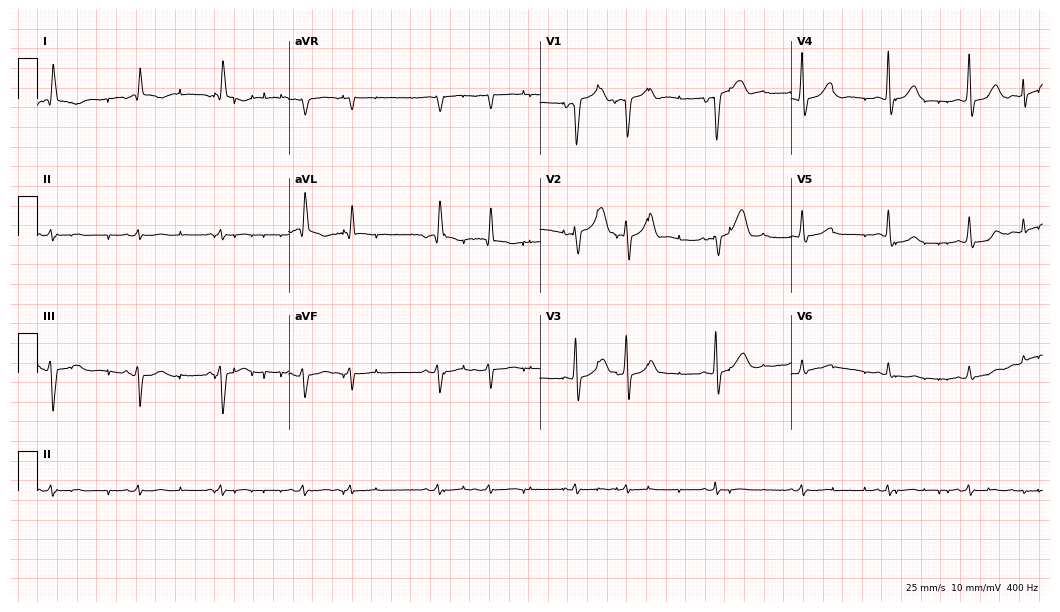
12-lead ECG from a female, 82 years old. No first-degree AV block, right bundle branch block (RBBB), left bundle branch block (LBBB), sinus bradycardia, atrial fibrillation (AF) or sinus tachycardia recorded for this tracing.